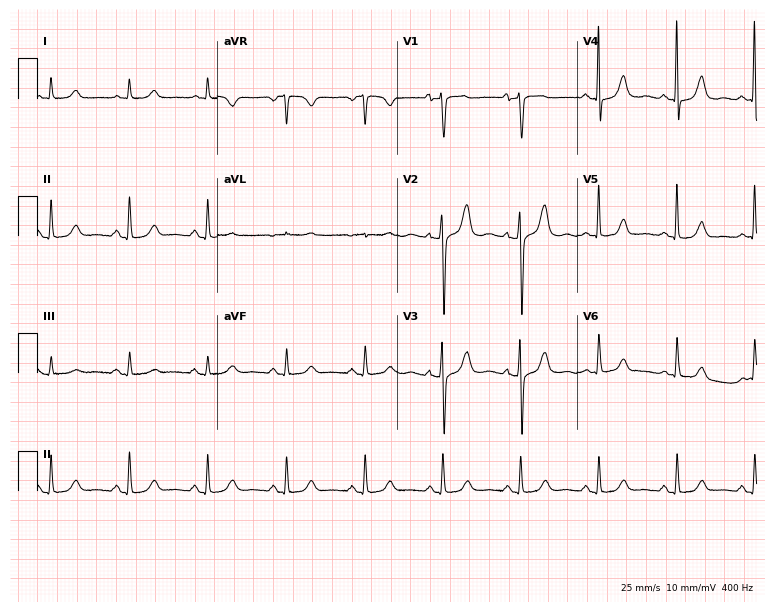
Resting 12-lead electrocardiogram. Patient: an 82-year-old female. Read as a normal ECG.